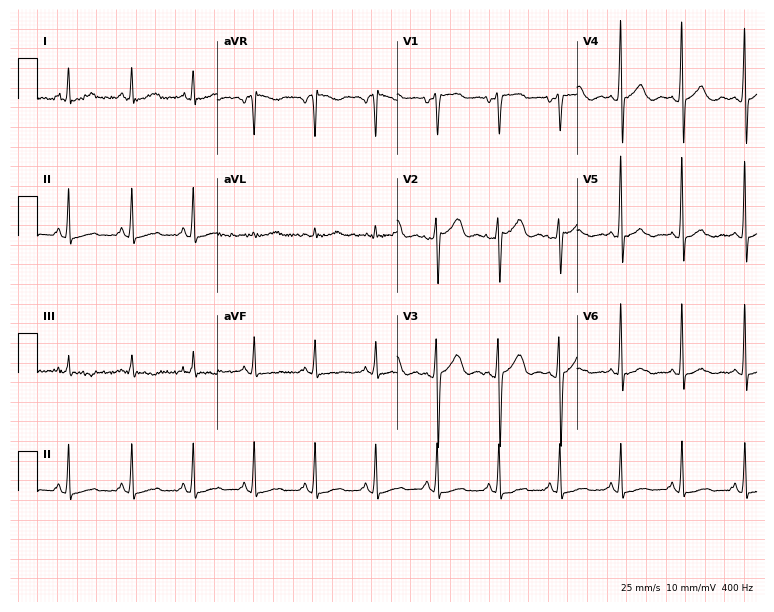
ECG (7.3-second recording at 400 Hz) — a 33-year-old female. Labelled as a normal ECG.